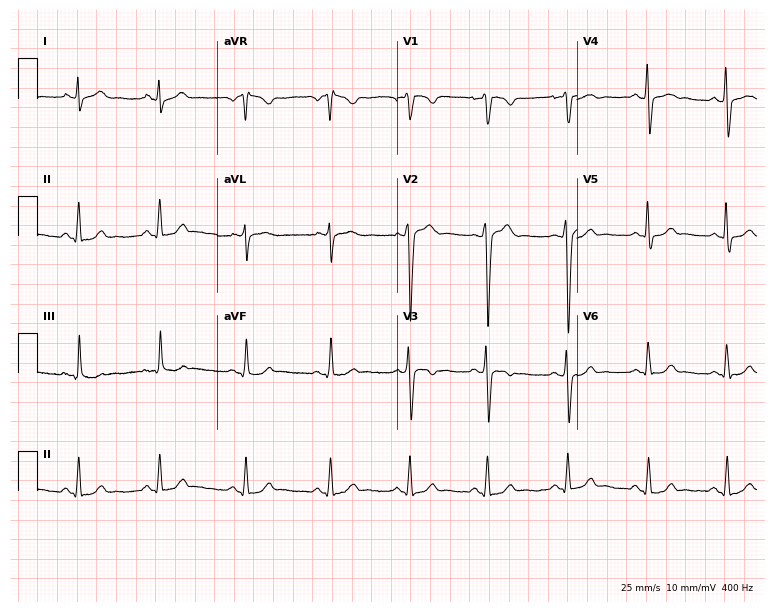
12-lead ECG from a 29-year-old male (7.3-second recording at 400 Hz). Recorded interpretation: within normal limits.